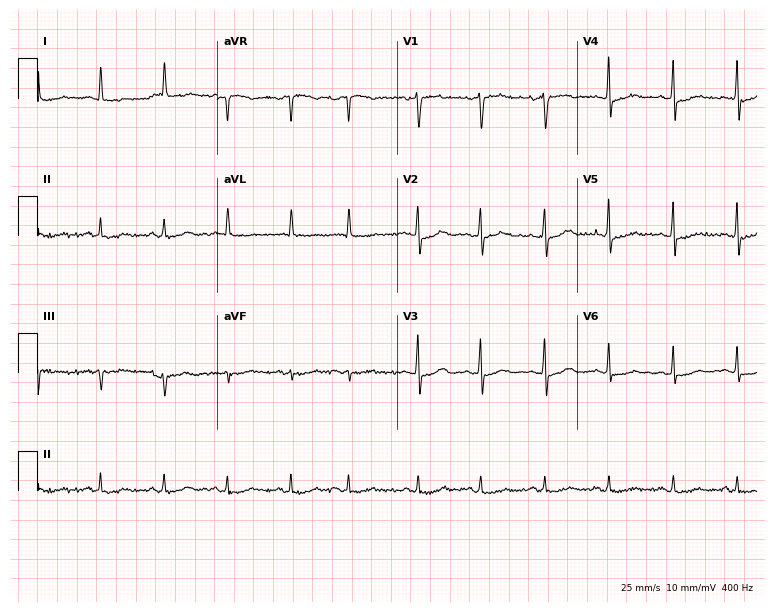
Electrocardiogram, a female, 75 years old. Overall reading on record: normal ECG.